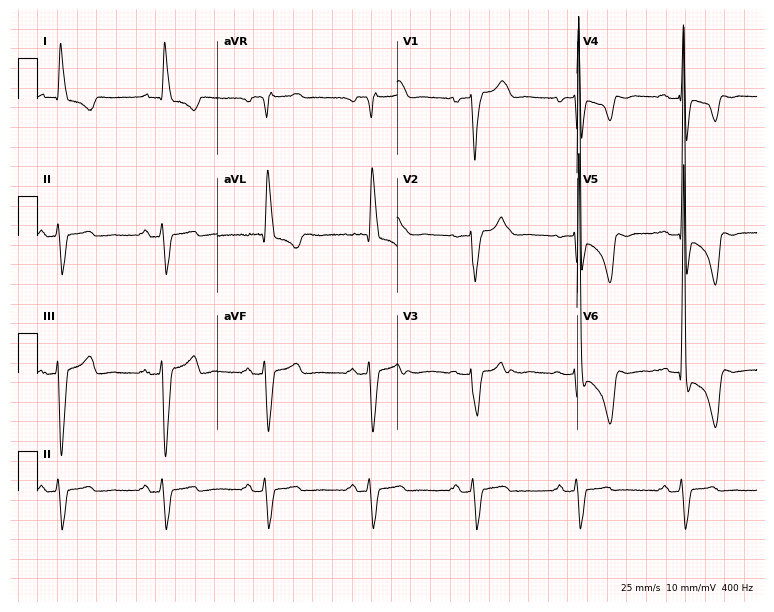
Electrocardiogram, an 81-year-old male. Of the six screened findings (first-degree AV block, right bundle branch block, left bundle branch block, sinus bradycardia, atrial fibrillation, sinus tachycardia), none is recorded. Only these six findings were labelled.